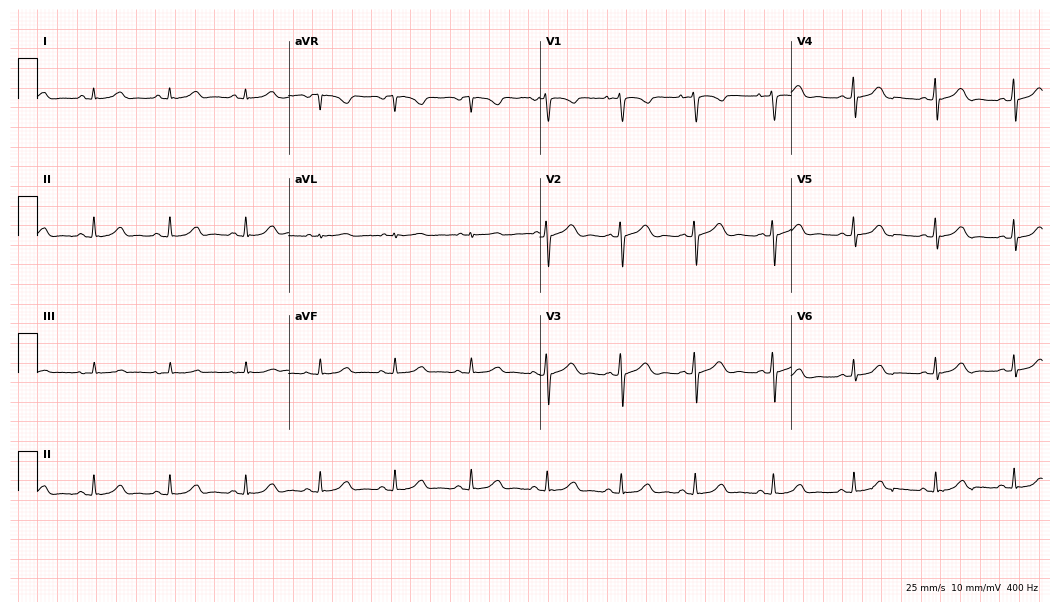
ECG — a female, 26 years old. Labelled as a normal ECG.